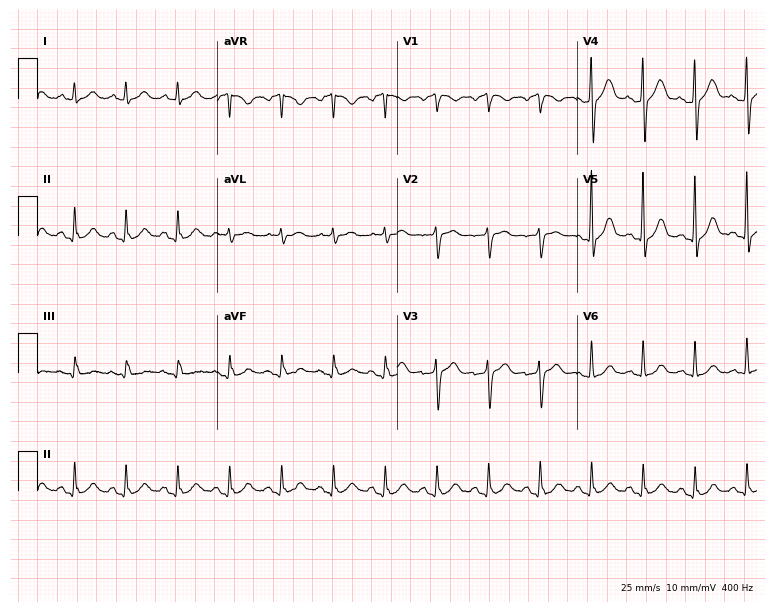
12-lead ECG (7.3-second recording at 400 Hz) from a 75-year-old man. Findings include sinus tachycardia (a sinus rate of 100 beats per minute or more).